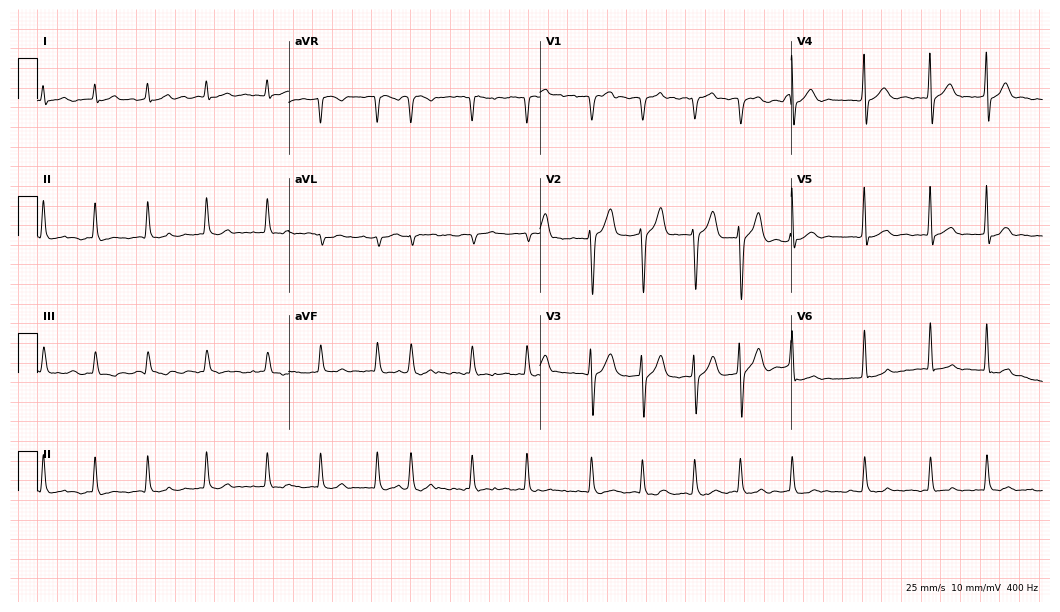
12-lead ECG from a male patient, 74 years old (10.2-second recording at 400 Hz). Shows atrial fibrillation (AF).